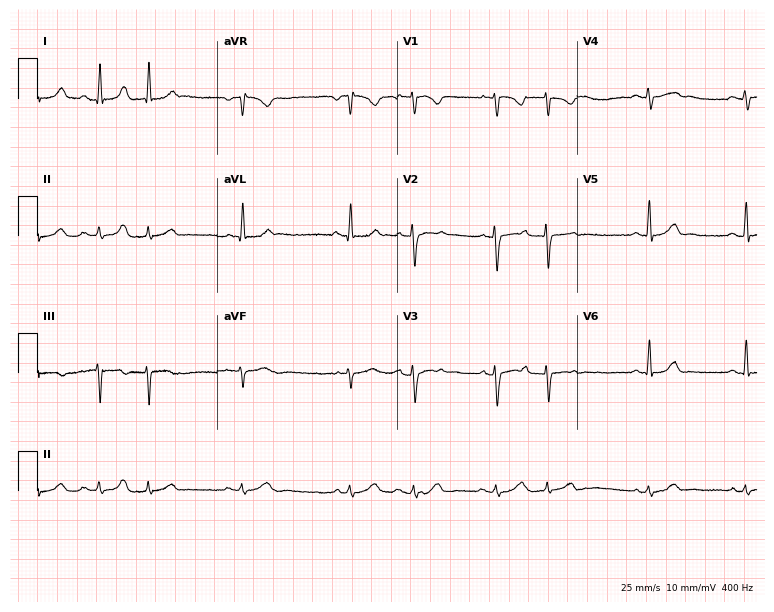
ECG (7.3-second recording at 400 Hz) — a 34-year-old female. Screened for six findings — first-degree AV block, right bundle branch block (RBBB), left bundle branch block (LBBB), sinus bradycardia, atrial fibrillation (AF), sinus tachycardia — none is recorded.